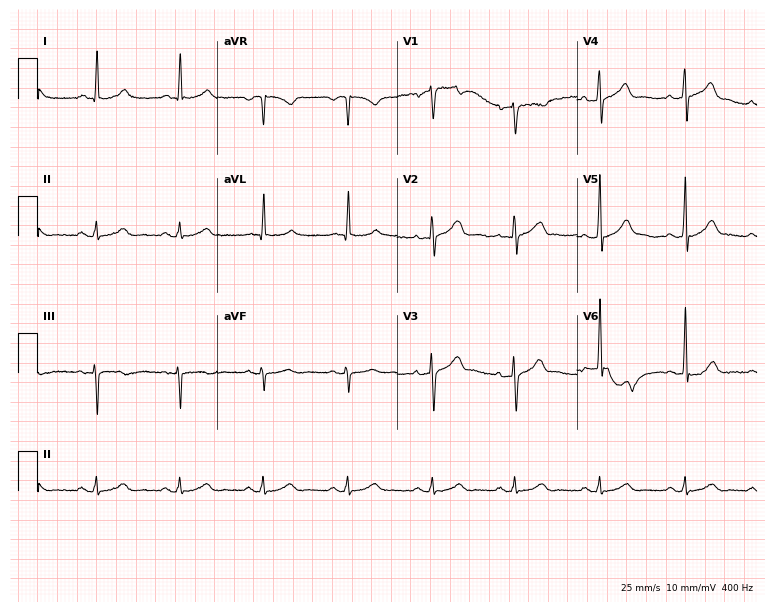
Resting 12-lead electrocardiogram. Patient: a male, 63 years old. None of these six findings is recorded: first-degree AV block, right bundle branch block, left bundle branch block, sinus bradycardia, atrial fibrillation, sinus tachycardia.